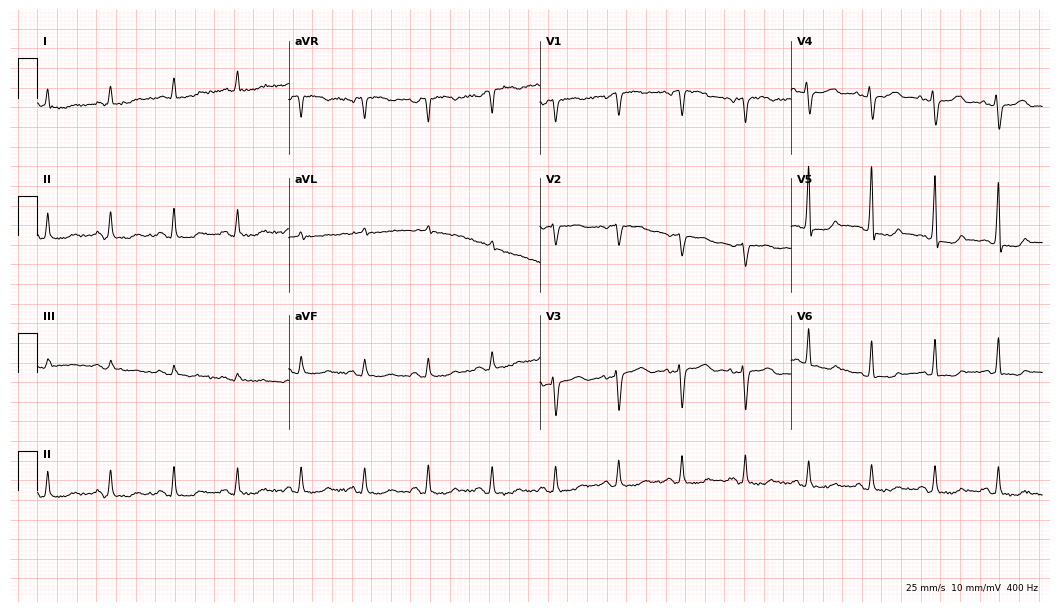
12-lead ECG from an 80-year-old female (10.2-second recording at 400 Hz). No first-degree AV block, right bundle branch block (RBBB), left bundle branch block (LBBB), sinus bradycardia, atrial fibrillation (AF) or sinus tachycardia recorded for this tracing. Other findings, if any, are not listed.